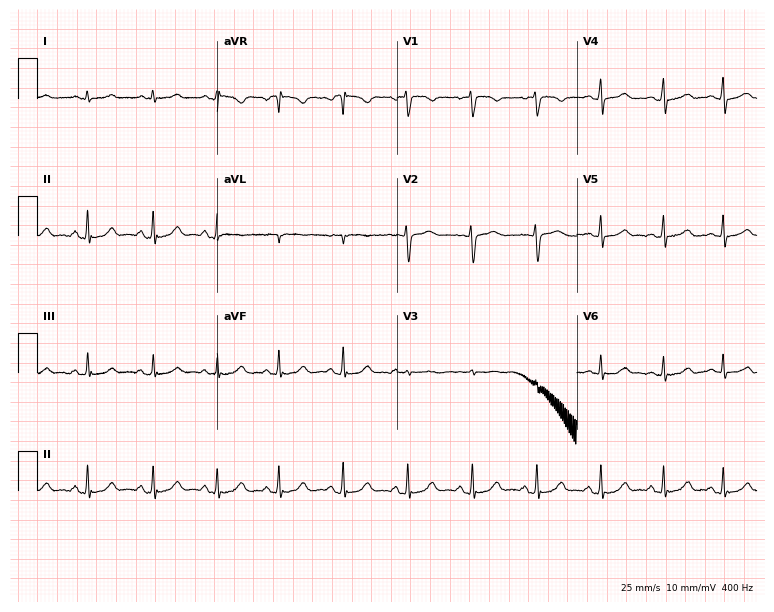
12-lead ECG from a 25-year-old female patient. Screened for six findings — first-degree AV block, right bundle branch block, left bundle branch block, sinus bradycardia, atrial fibrillation, sinus tachycardia — none is recorded.